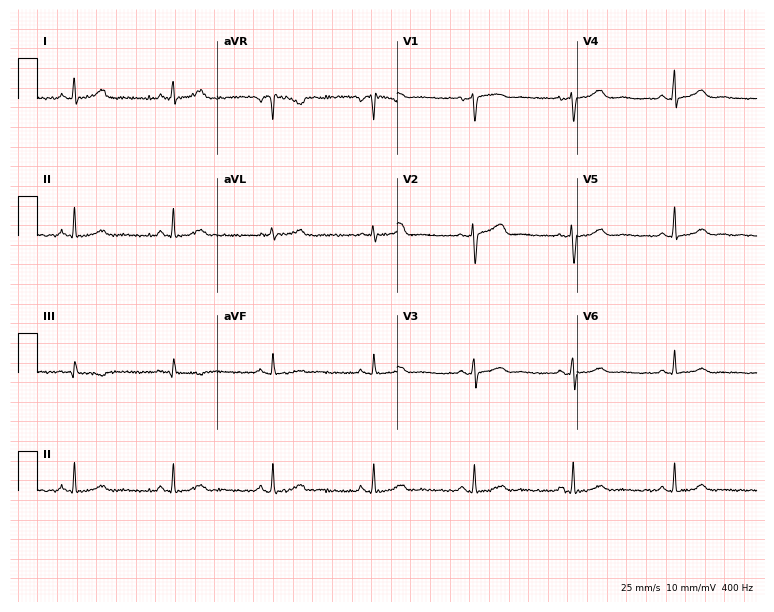
Resting 12-lead electrocardiogram. Patient: a woman, 49 years old. Read as a normal ECG.